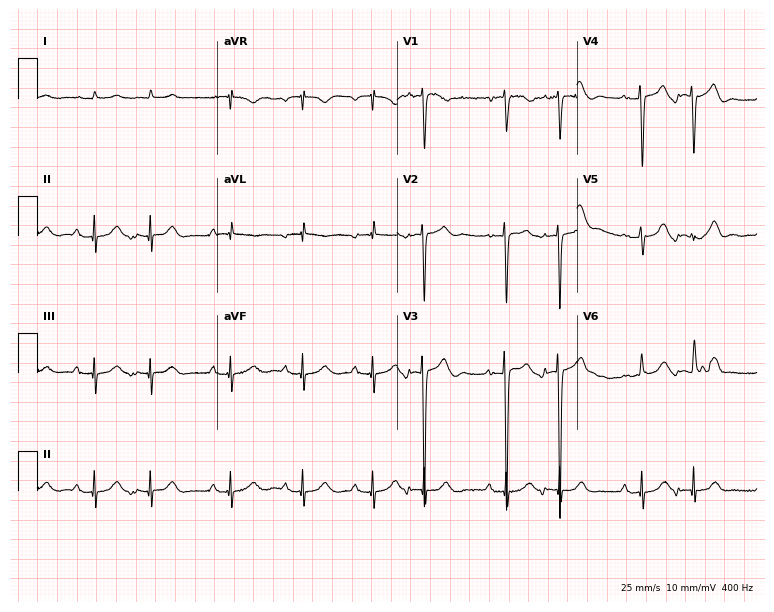
Resting 12-lead electrocardiogram (7.3-second recording at 400 Hz). Patient: an 83-year-old man. None of these six findings is recorded: first-degree AV block, right bundle branch block, left bundle branch block, sinus bradycardia, atrial fibrillation, sinus tachycardia.